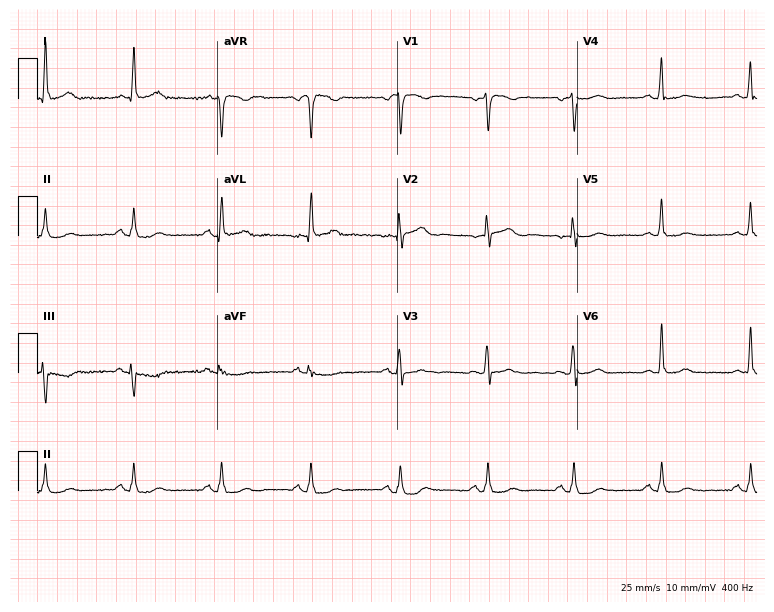
12-lead ECG from a 60-year-old female patient (7.3-second recording at 400 Hz). No first-degree AV block, right bundle branch block, left bundle branch block, sinus bradycardia, atrial fibrillation or sinus tachycardia recorded for this tracing.